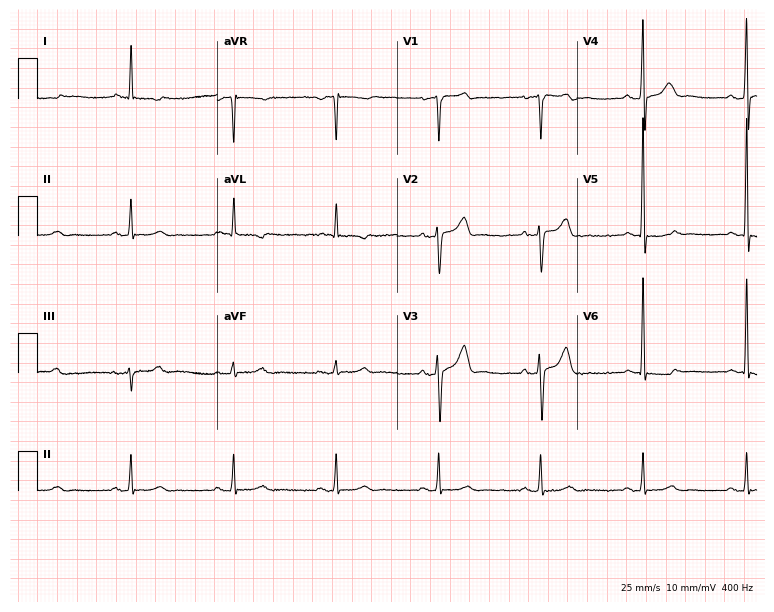
Resting 12-lead electrocardiogram. Patient: a 65-year-old woman. None of these six findings is recorded: first-degree AV block, right bundle branch block (RBBB), left bundle branch block (LBBB), sinus bradycardia, atrial fibrillation (AF), sinus tachycardia.